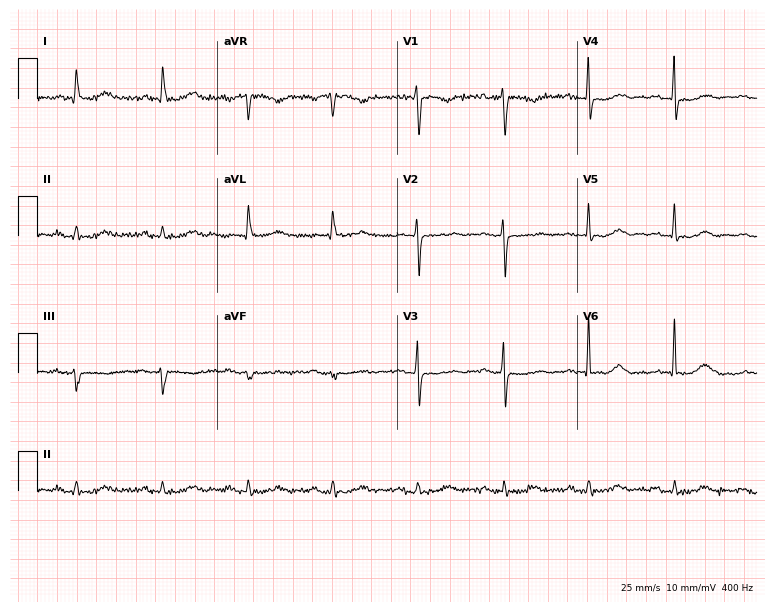
Resting 12-lead electrocardiogram. Patient: a 66-year-old female. Read as a normal ECG.